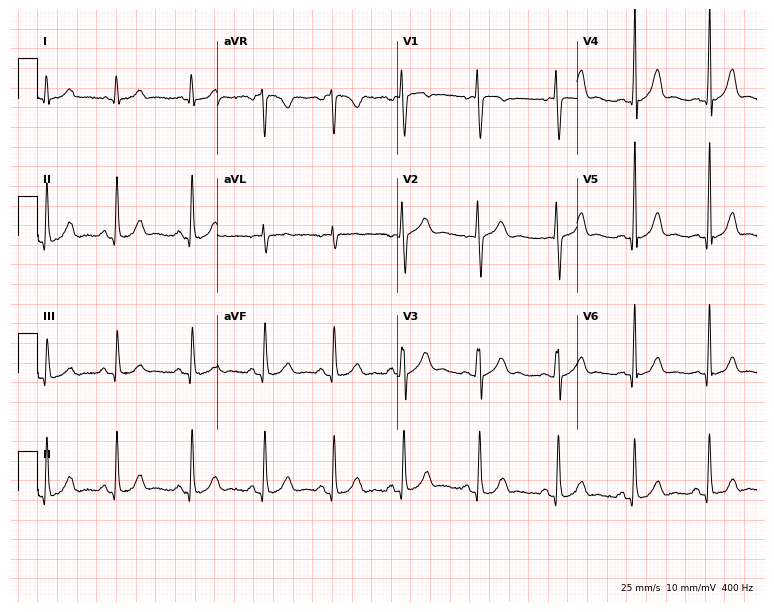
Electrocardiogram, a female, 17 years old. Overall reading on record: normal ECG.